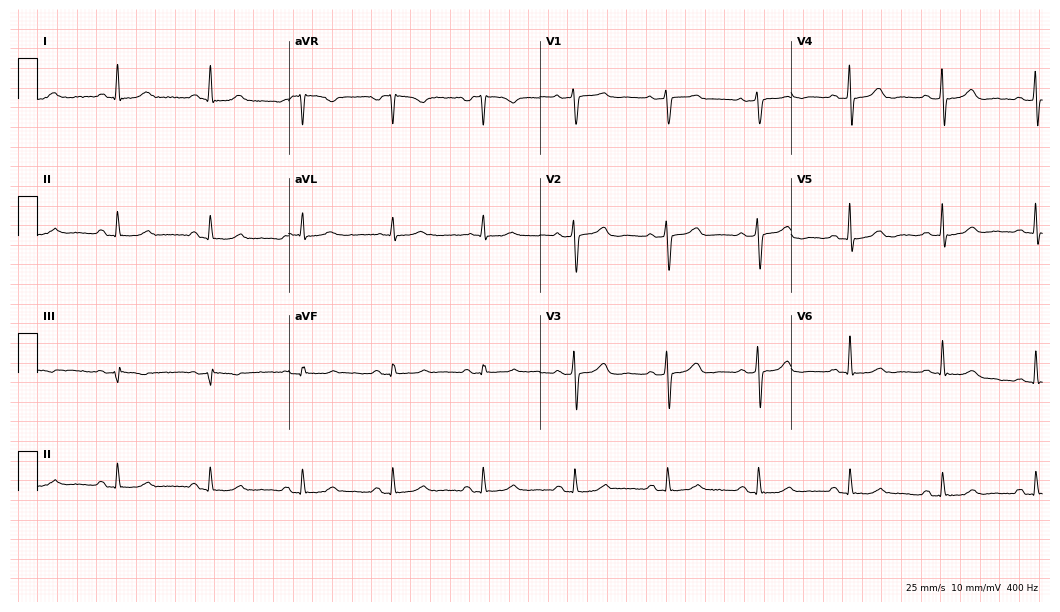
Resting 12-lead electrocardiogram. Patient: a 56-year-old female. Read as a normal ECG.